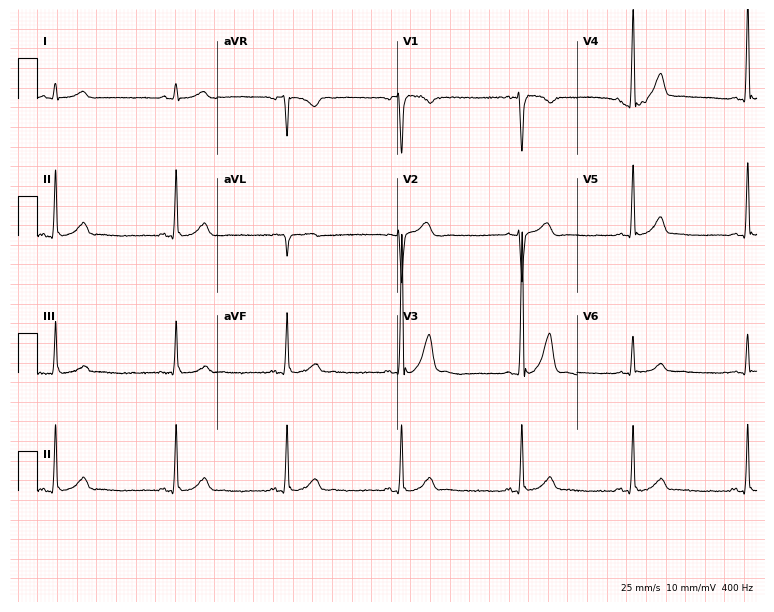
12-lead ECG from a man, 32 years old (7.3-second recording at 400 Hz). Recorded interpretation: within normal limits.